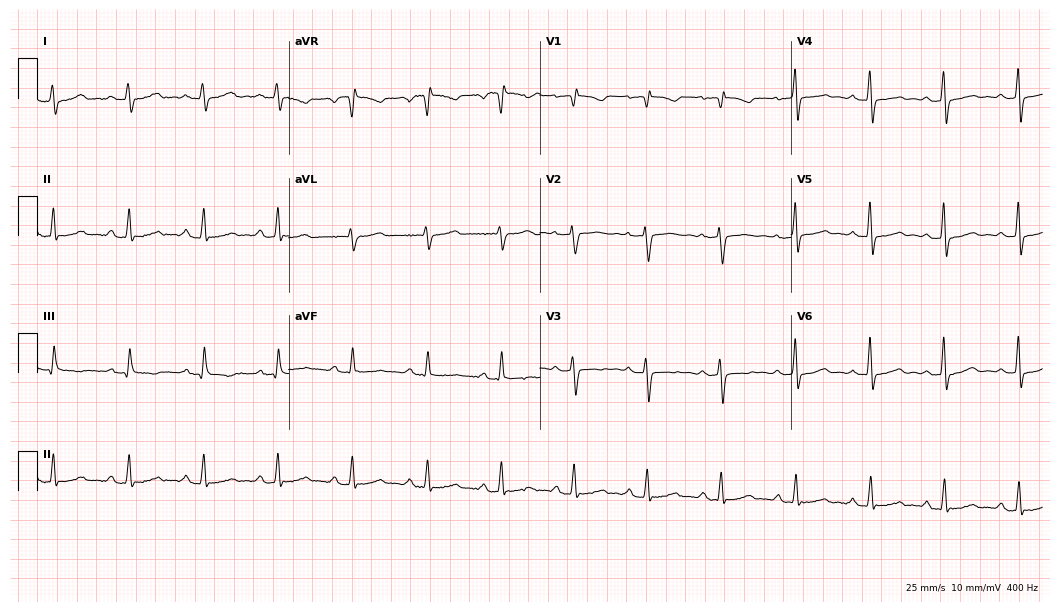
12-lead ECG from a woman, 40 years old (10.2-second recording at 400 Hz). No first-degree AV block, right bundle branch block, left bundle branch block, sinus bradycardia, atrial fibrillation or sinus tachycardia recorded for this tracing. Findings outside these six are not listed.